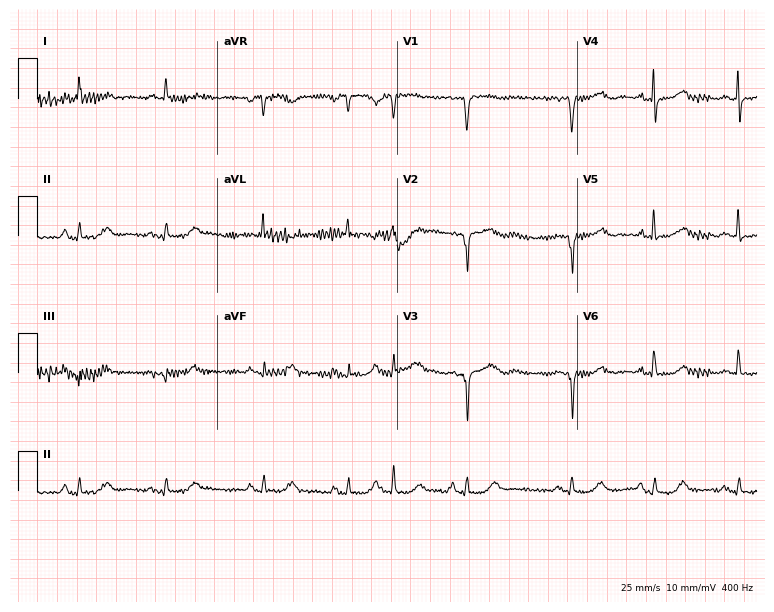
12-lead ECG from a woman, 80 years old. Screened for six findings — first-degree AV block, right bundle branch block, left bundle branch block, sinus bradycardia, atrial fibrillation, sinus tachycardia — none is recorded. Other findings, if any, are not listed.